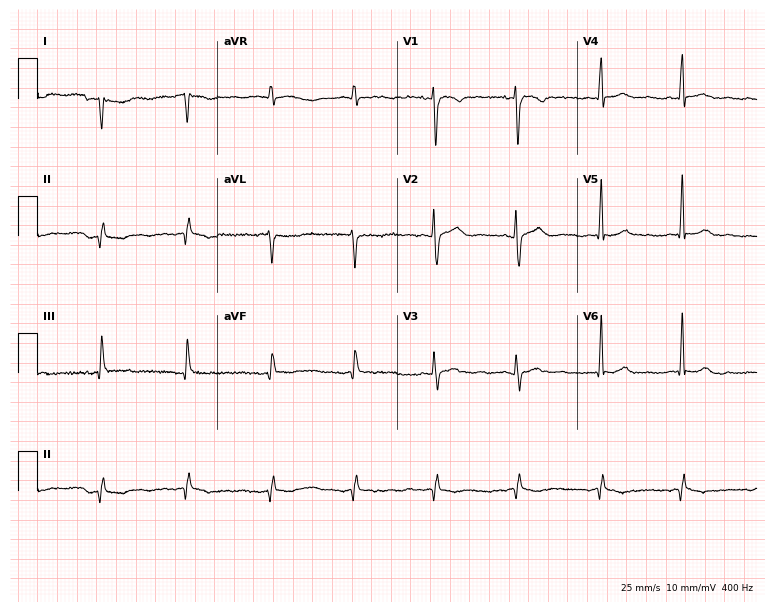
12-lead ECG from a 49-year-old female (7.3-second recording at 400 Hz). No first-degree AV block, right bundle branch block (RBBB), left bundle branch block (LBBB), sinus bradycardia, atrial fibrillation (AF) or sinus tachycardia recorded for this tracing.